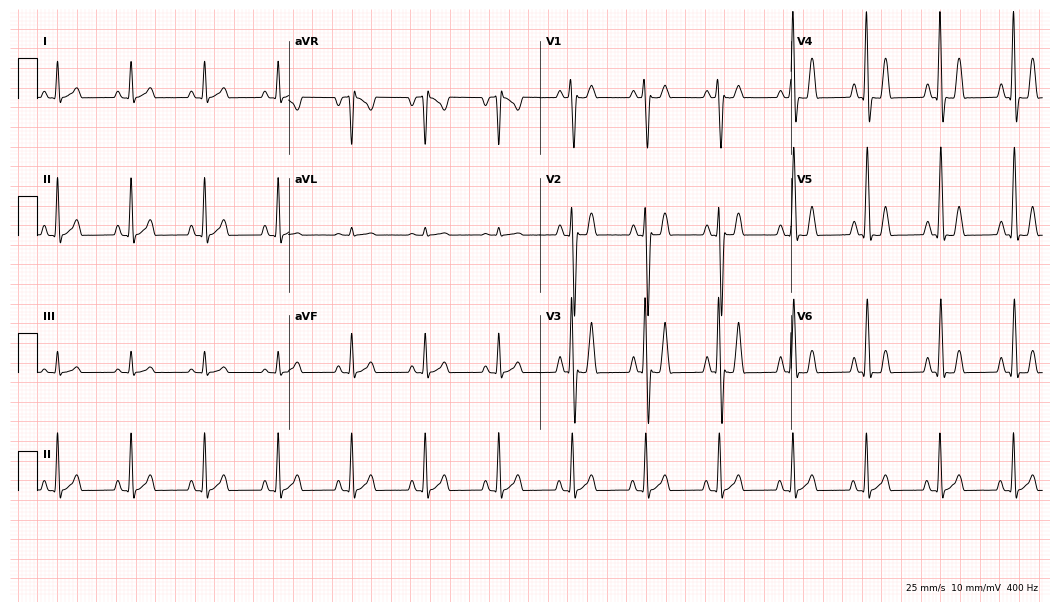
12-lead ECG from a 25-year-old woman (10.2-second recording at 400 Hz). Recorded interpretation: within normal limits.